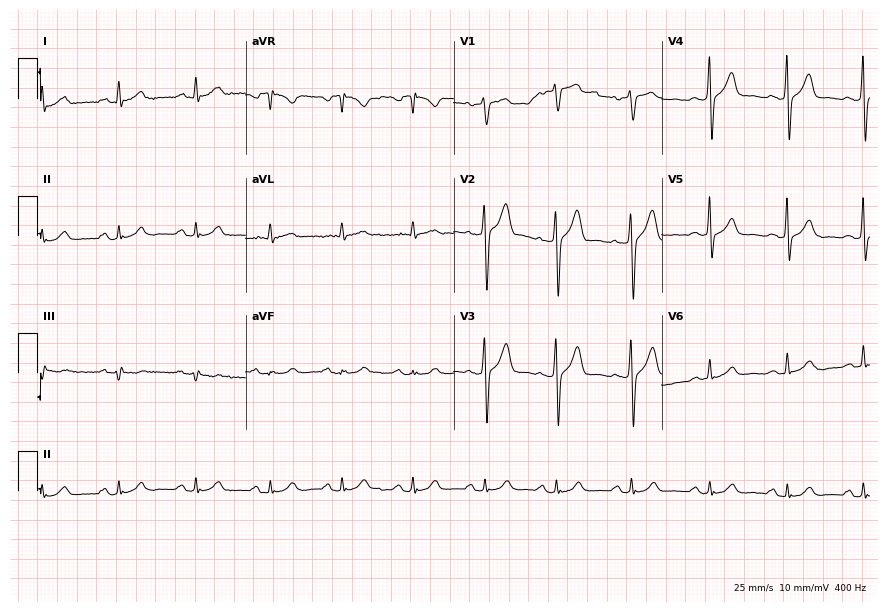
12-lead ECG from a male patient, 48 years old. No first-degree AV block, right bundle branch block (RBBB), left bundle branch block (LBBB), sinus bradycardia, atrial fibrillation (AF) or sinus tachycardia recorded for this tracing. Other findings, if any, are not listed.